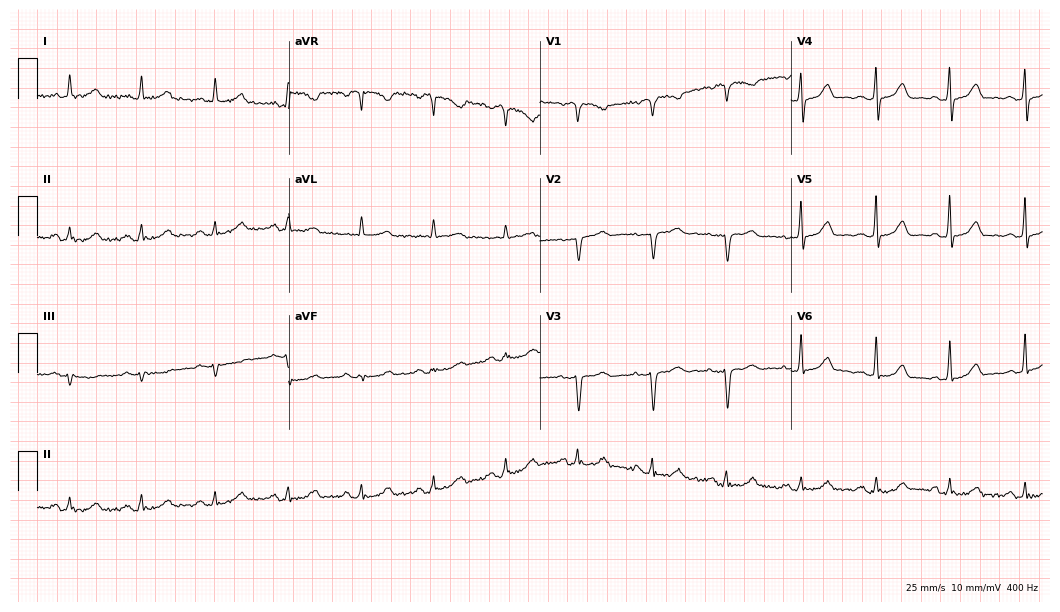
ECG — a female, 65 years old. Screened for six findings — first-degree AV block, right bundle branch block, left bundle branch block, sinus bradycardia, atrial fibrillation, sinus tachycardia — none is recorded. Findings outside these six are not listed.